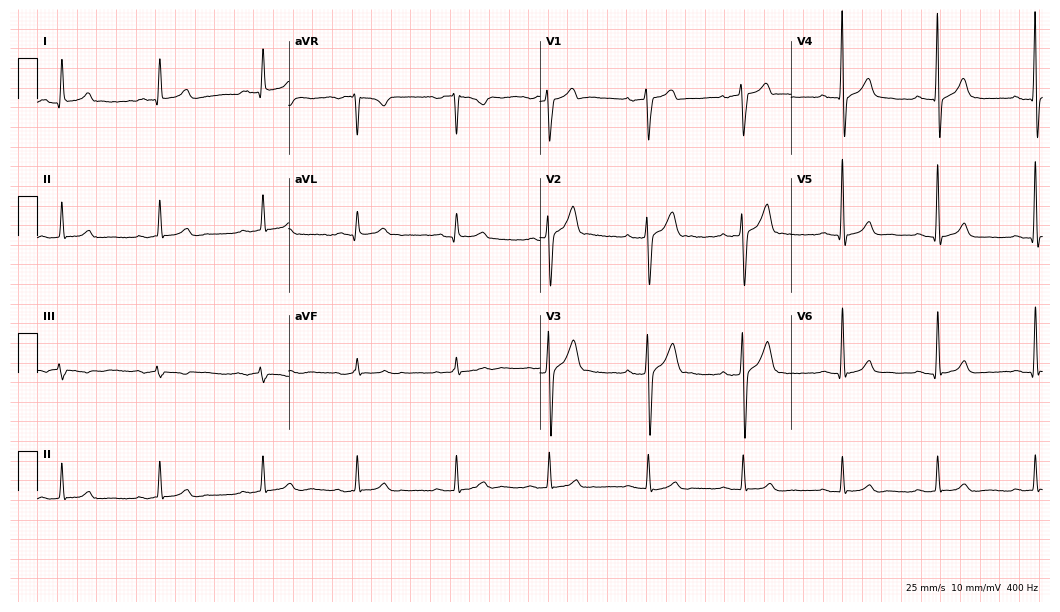
12-lead ECG from a 31-year-old male patient. Recorded interpretation: within normal limits.